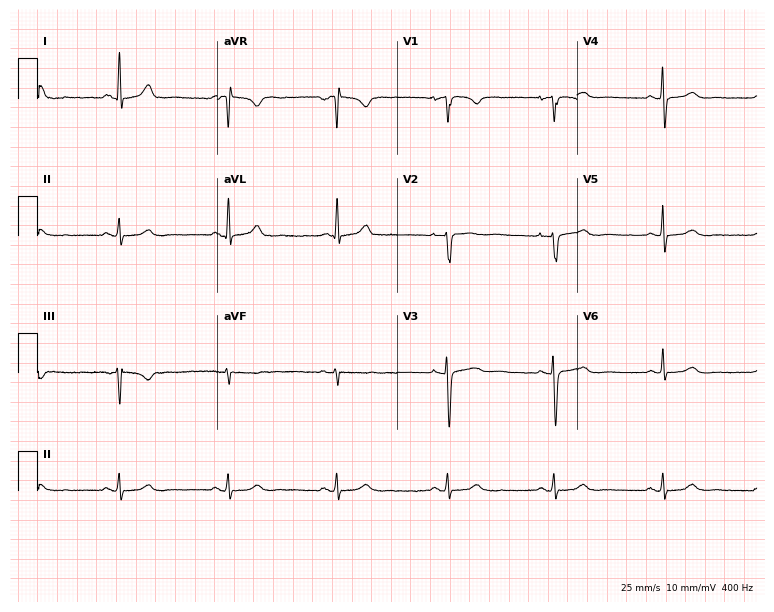
ECG — a female, 48 years old. Screened for six findings — first-degree AV block, right bundle branch block, left bundle branch block, sinus bradycardia, atrial fibrillation, sinus tachycardia — none is recorded.